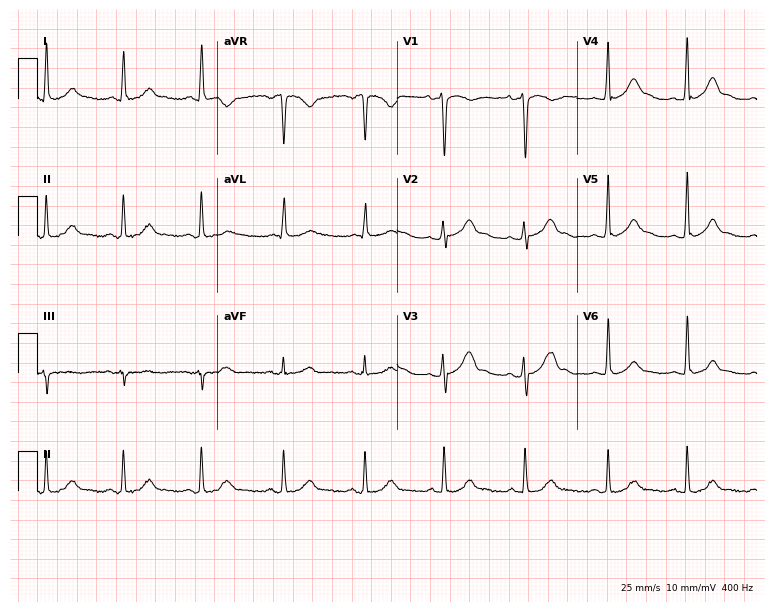
Electrocardiogram, a 23-year-old female patient. Overall reading on record: normal ECG.